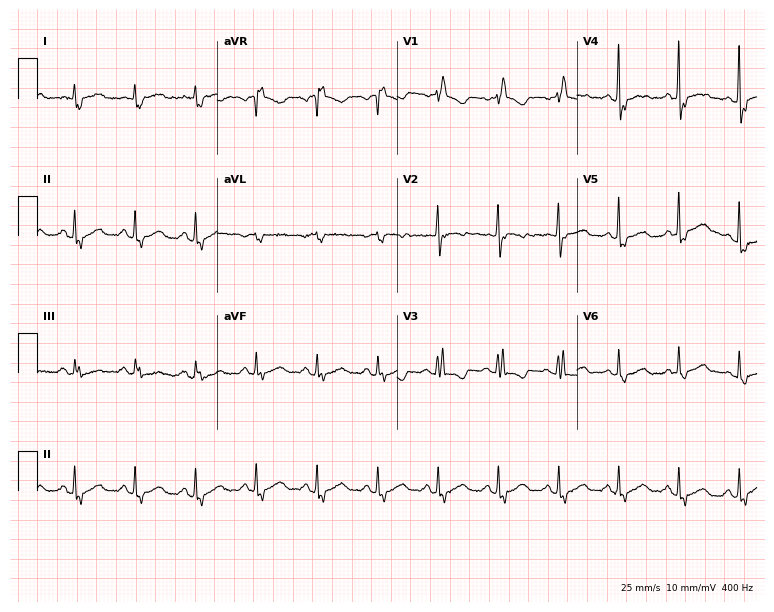
12-lead ECG from a female patient, 71 years old. No first-degree AV block, right bundle branch block, left bundle branch block, sinus bradycardia, atrial fibrillation or sinus tachycardia recorded for this tracing.